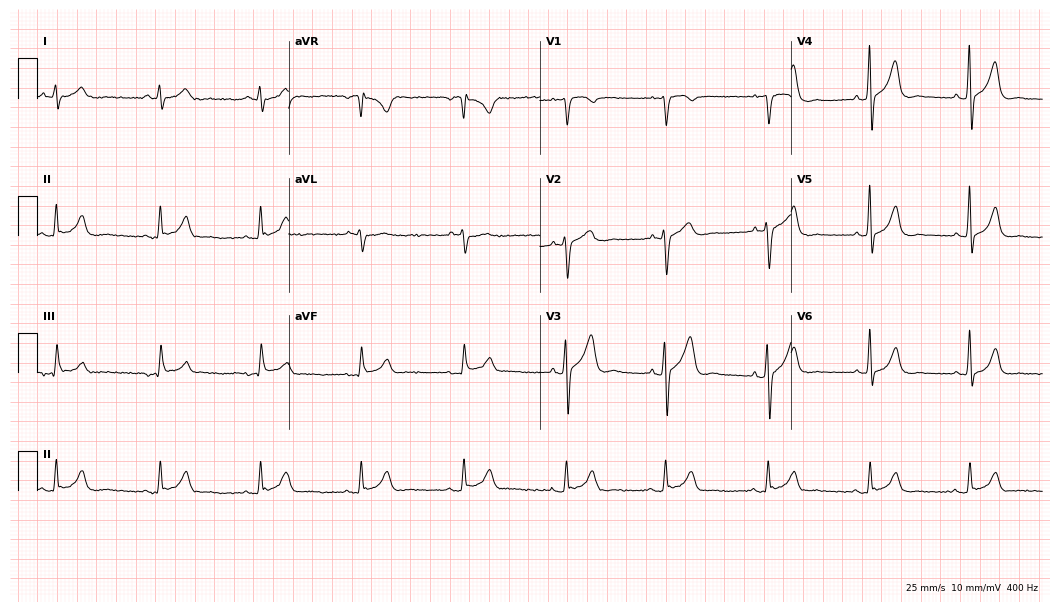
Standard 12-lead ECG recorded from a 63-year-old man. None of these six findings is recorded: first-degree AV block, right bundle branch block (RBBB), left bundle branch block (LBBB), sinus bradycardia, atrial fibrillation (AF), sinus tachycardia.